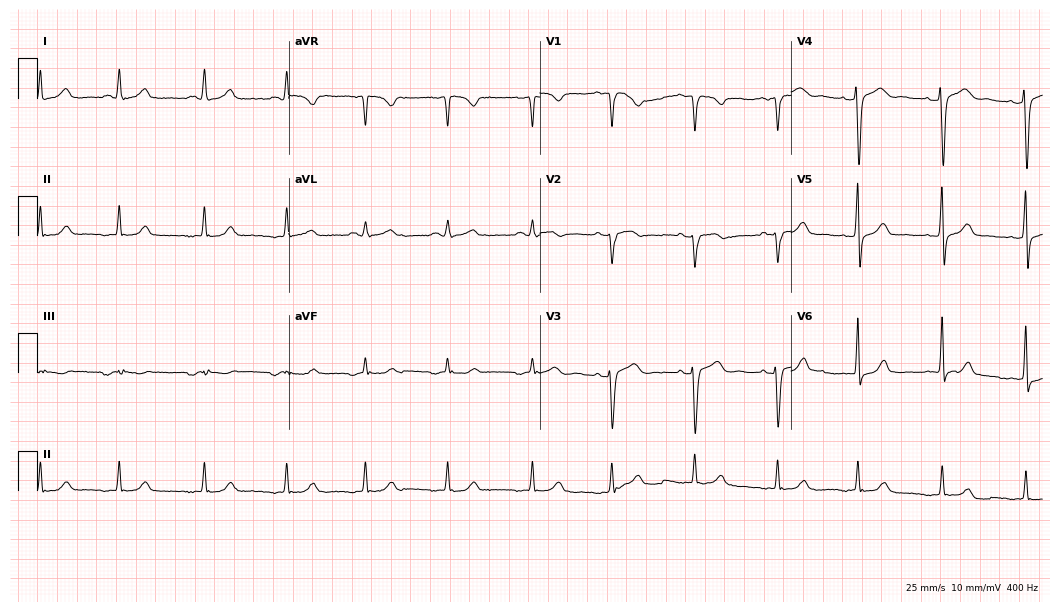
Resting 12-lead electrocardiogram. Patient: a female, 50 years old. Read as a normal ECG.